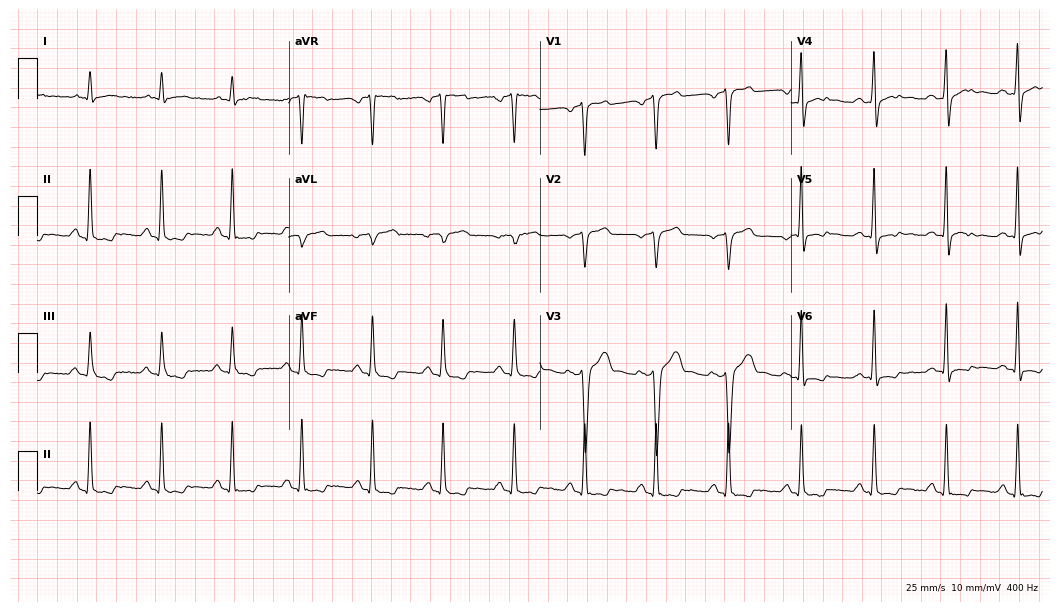
Standard 12-lead ECG recorded from a male patient, 46 years old (10.2-second recording at 400 Hz). None of these six findings is recorded: first-degree AV block, right bundle branch block (RBBB), left bundle branch block (LBBB), sinus bradycardia, atrial fibrillation (AF), sinus tachycardia. Only these six findings were labelled.